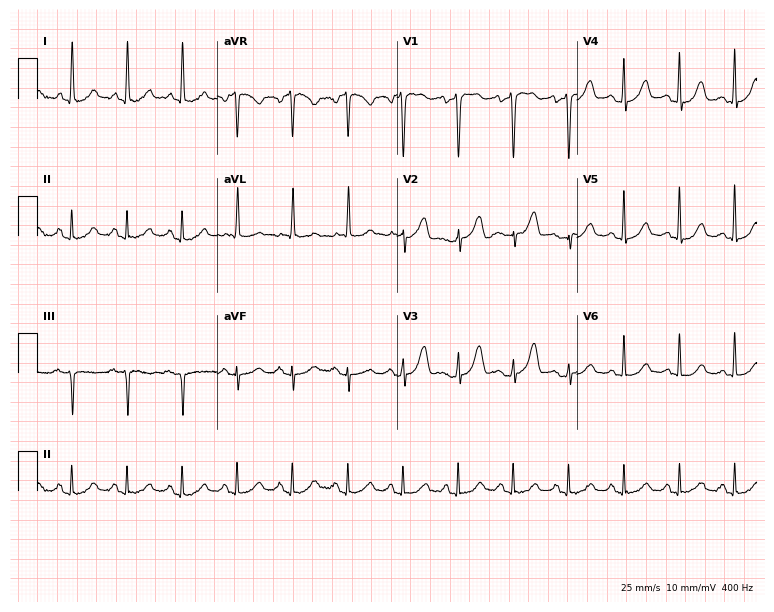
Standard 12-lead ECG recorded from a female, 61 years old (7.3-second recording at 400 Hz). The tracing shows sinus tachycardia (a sinus rate of 100 beats per minute or more).